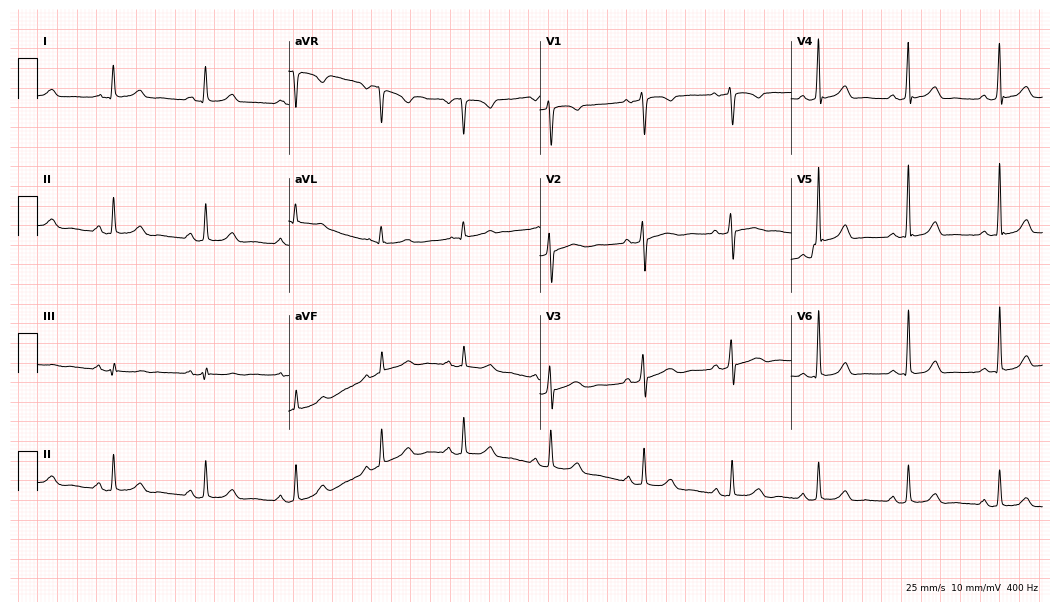
12-lead ECG (10.2-second recording at 400 Hz) from a 40-year-old female. Screened for six findings — first-degree AV block, right bundle branch block (RBBB), left bundle branch block (LBBB), sinus bradycardia, atrial fibrillation (AF), sinus tachycardia — none is recorded.